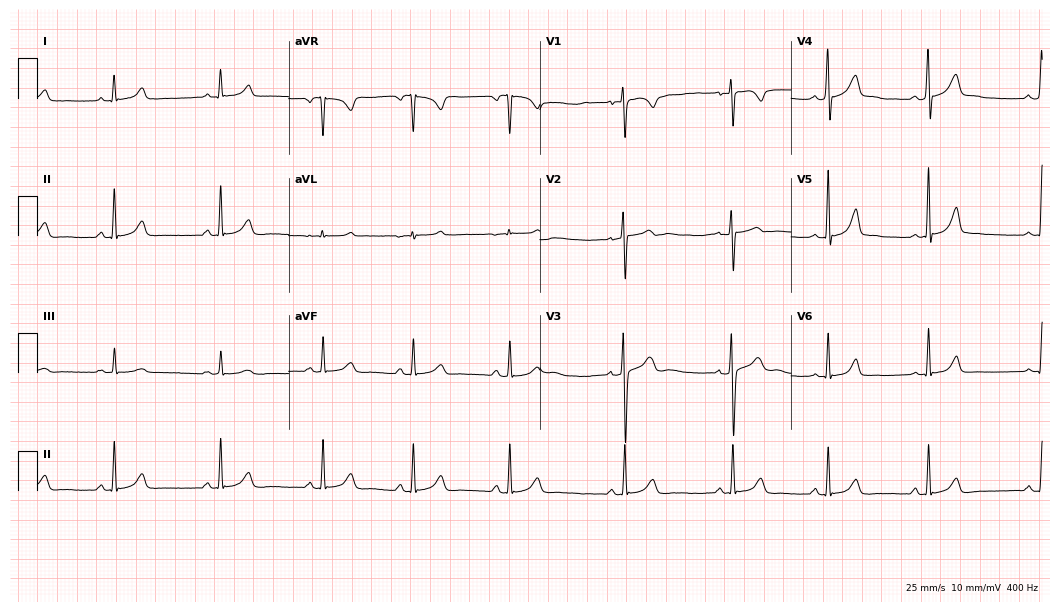
Resting 12-lead electrocardiogram. Patient: a woman, 23 years old. Read as a normal ECG.